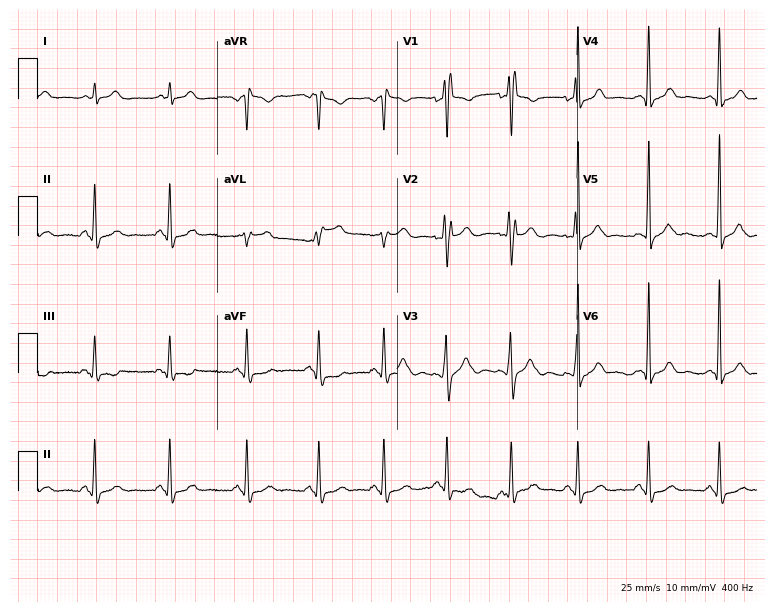
Electrocardiogram (7.3-second recording at 400 Hz), a 26-year-old female patient. Of the six screened findings (first-degree AV block, right bundle branch block (RBBB), left bundle branch block (LBBB), sinus bradycardia, atrial fibrillation (AF), sinus tachycardia), none is recorded.